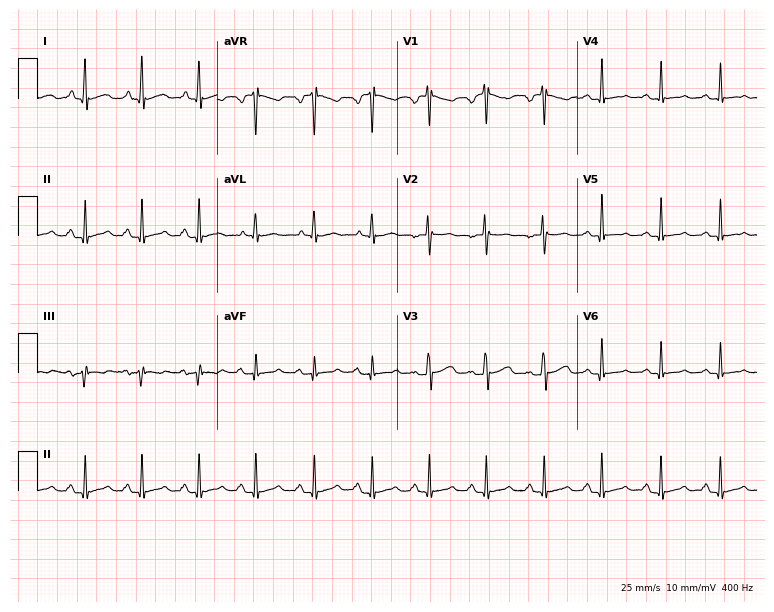
12-lead ECG from a 25-year-old woman. Findings include sinus tachycardia (a sinus rate of 100 beats per minute or more).